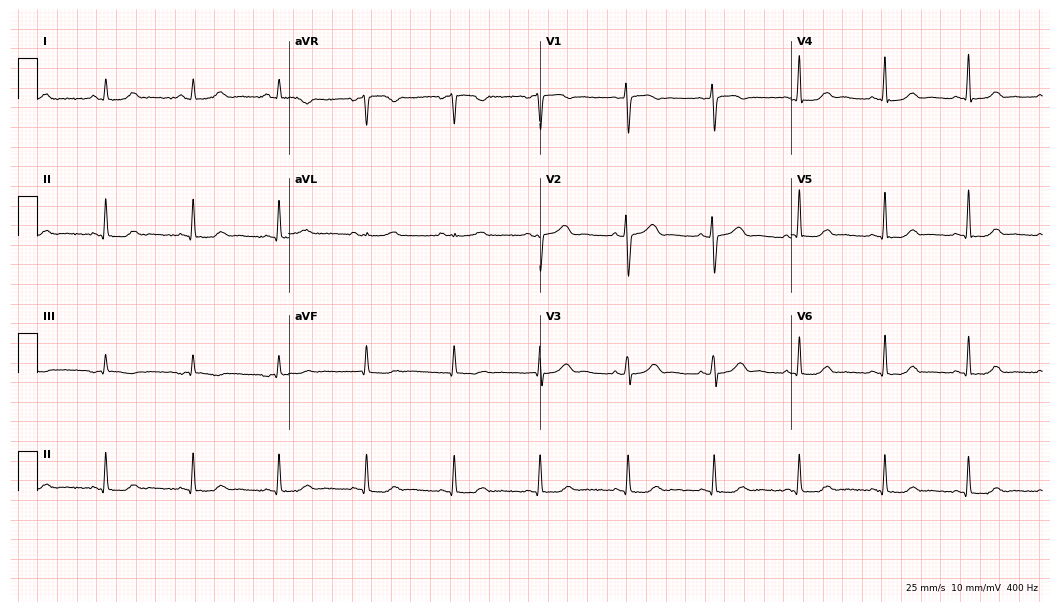
ECG — a 40-year-old female. Labelled as a normal ECG.